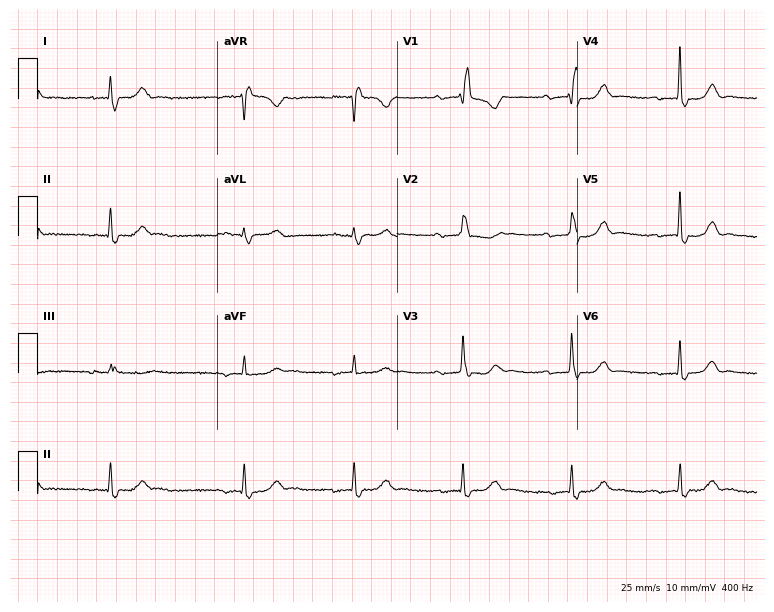
12-lead ECG (7.3-second recording at 400 Hz) from a 78-year-old woman. Findings include first-degree AV block, right bundle branch block.